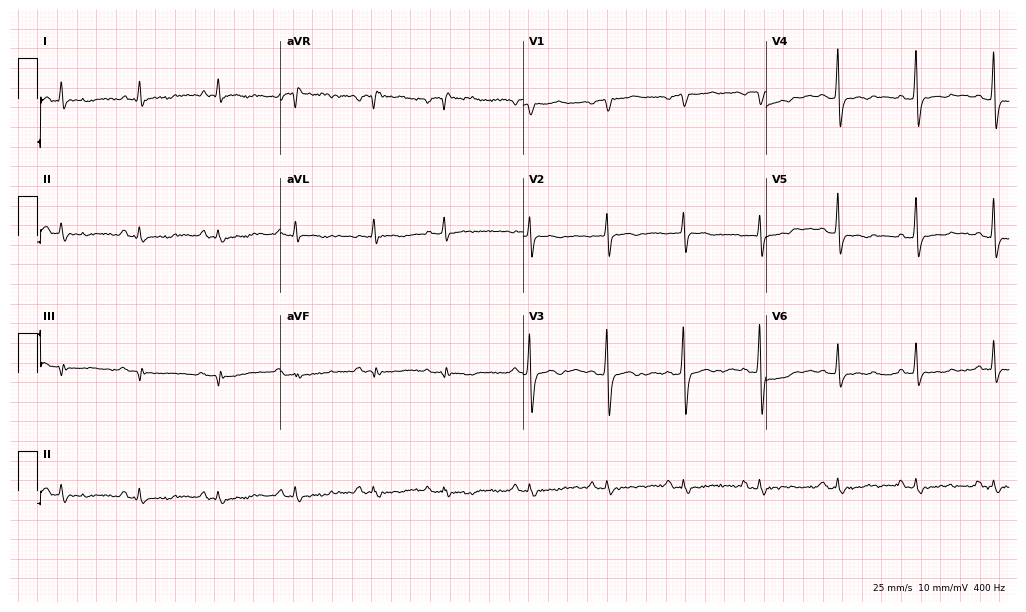
Standard 12-lead ECG recorded from a male patient, 58 years old. None of these six findings is recorded: first-degree AV block, right bundle branch block (RBBB), left bundle branch block (LBBB), sinus bradycardia, atrial fibrillation (AF), sinus tachycardia. Findings outside these six are not listed.